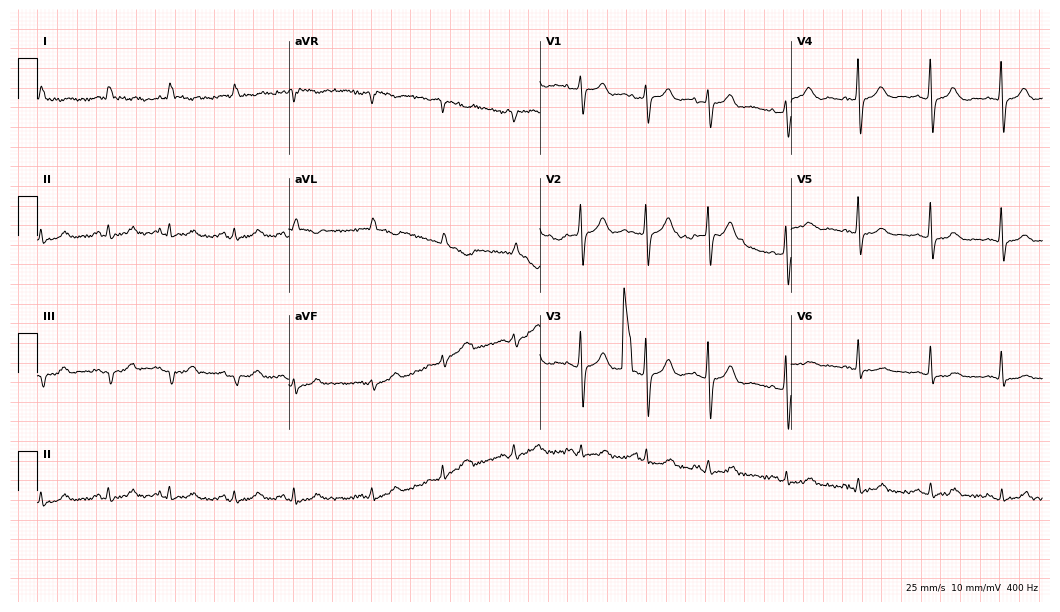
Standard 12-lead ECG recorded from a woman, 82 years old (10.2-second recording at 400 Hz). None of these six findings is recorded: first-degree AV block, right bundle branch block (RBBB), left bundle branch block (LBBB), sinus bradycardia, atrial fibrillation (AF), sinus tachycardia.